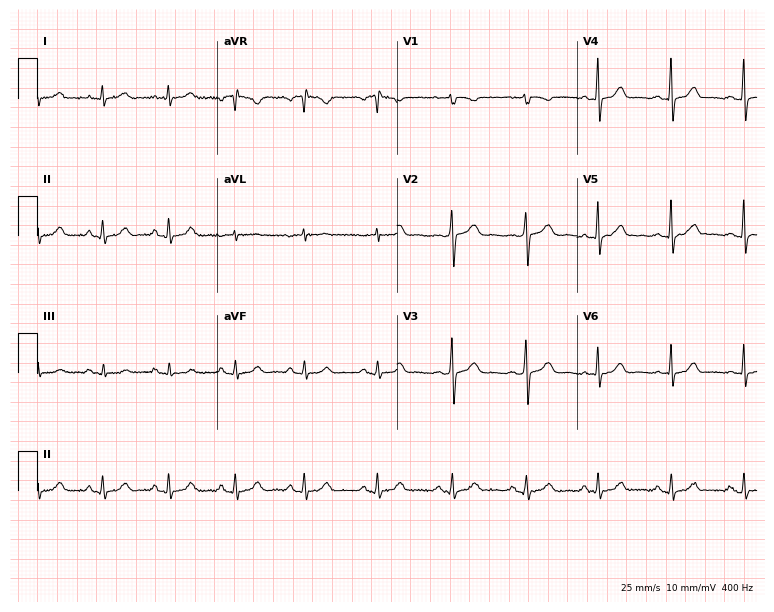
12-lead ECG from a 58-year-old female patient (7.3-second recording at 400 Hz). Recorded interpretation: within normal limits.